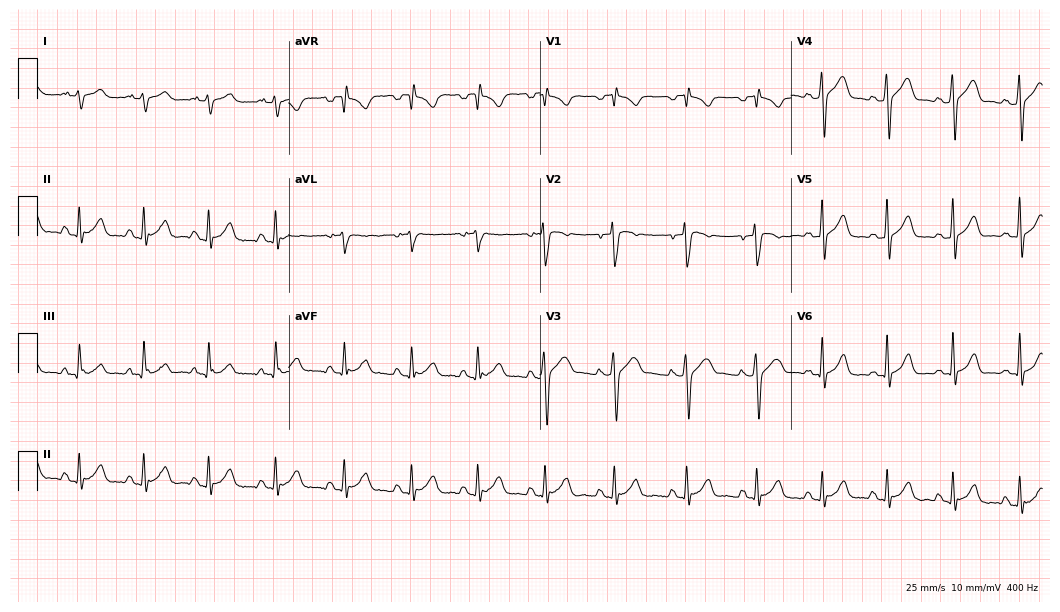
Electrocardiogram (10.2-second recording at 400 Hz), a 33-year-old male. Overall reading on record: normal ECG.